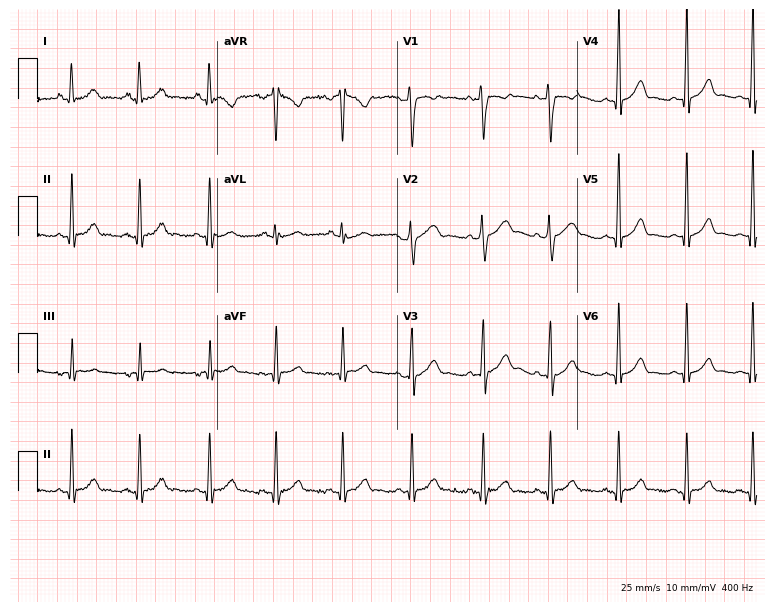
Standard 12-lead ECG recorded from a 20-year-old woman. Read as a normal ECG.